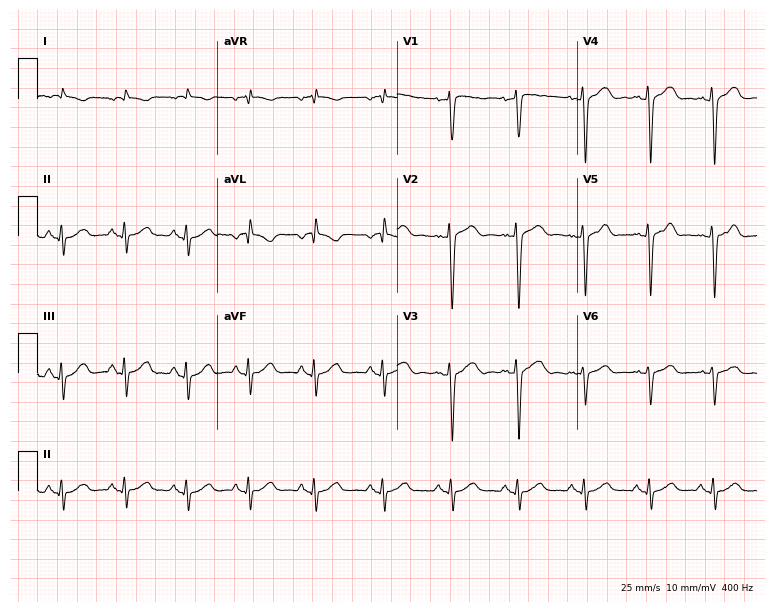
ECG — a 25-year-old male. Screened for six findings — first-degree AV block, right bundle branch block, left bundle branch block, sinus bradycardia, atrial fibrillation, sinus tachycardia — none is recorded.